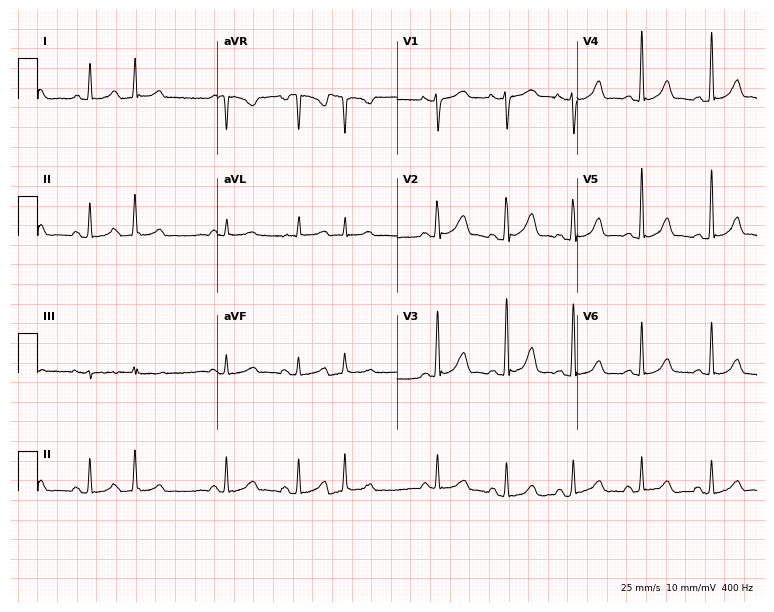
Electrocardiogram (7.3-second recording at 400 Hz), a 31-year-old woman. Overall reading on record: normal ECG.